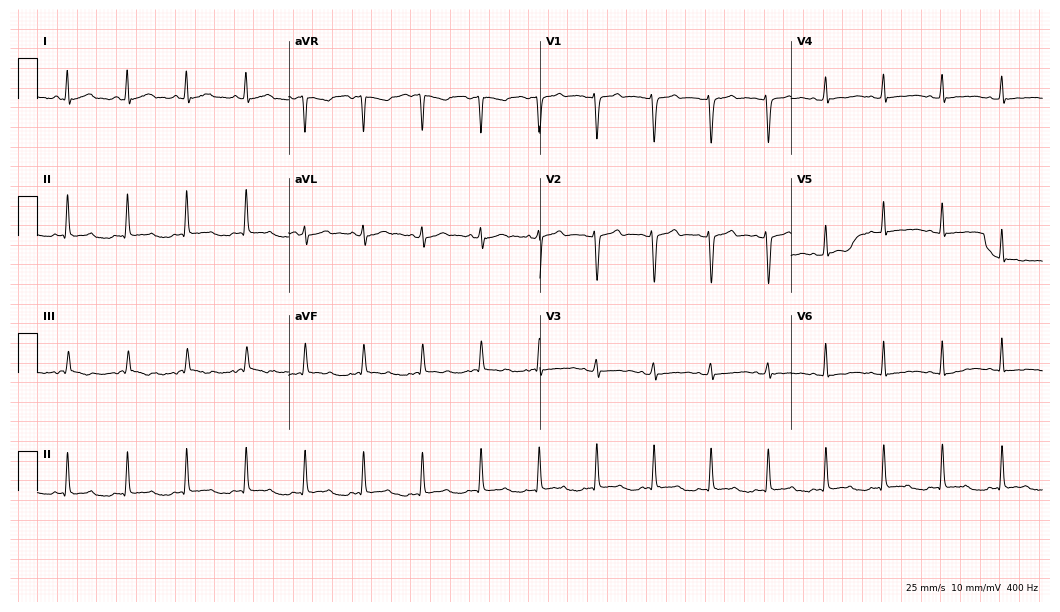
12-lead ECG (10.2-second recording at 400 Hz) from a 24-year-old woman. Screened for six findings — first-degree AV block, right bundle branch block (RBBB), left bundle branch block (LBBB), sinus bradycardia, atrial fibrillation (AF), sinus tachycardia — none is recorded.